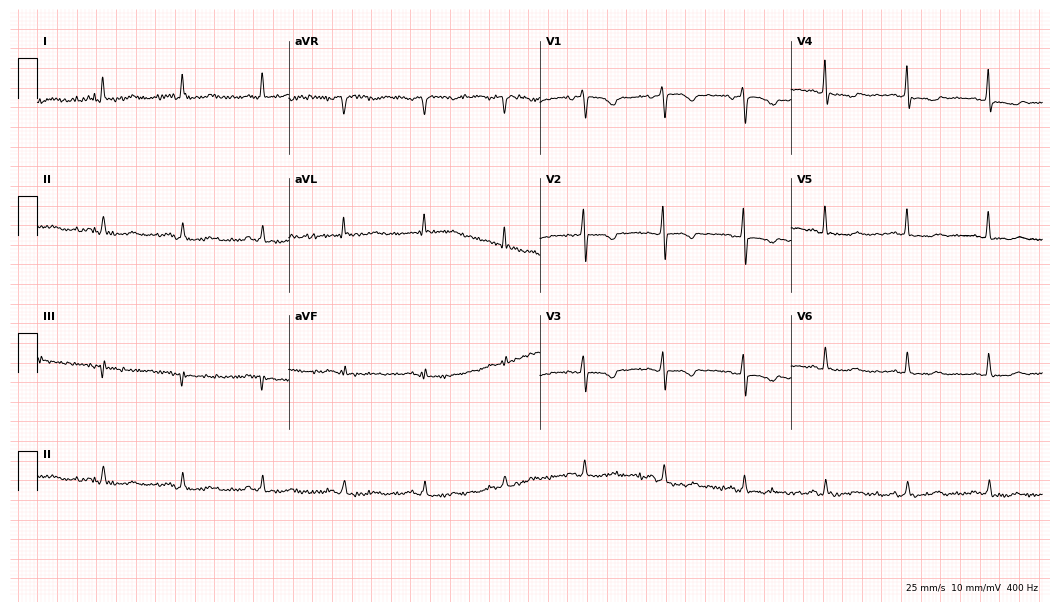
12-lead ECG (10.2-second recording at 400 Hz) from a 74-year-old woman. Screened for six findings — first-degree AV block, right bundle branch block, left bundle branch block, sinus bradycardia, atrial fibrillation, sinus tachycardia — none is recorded.